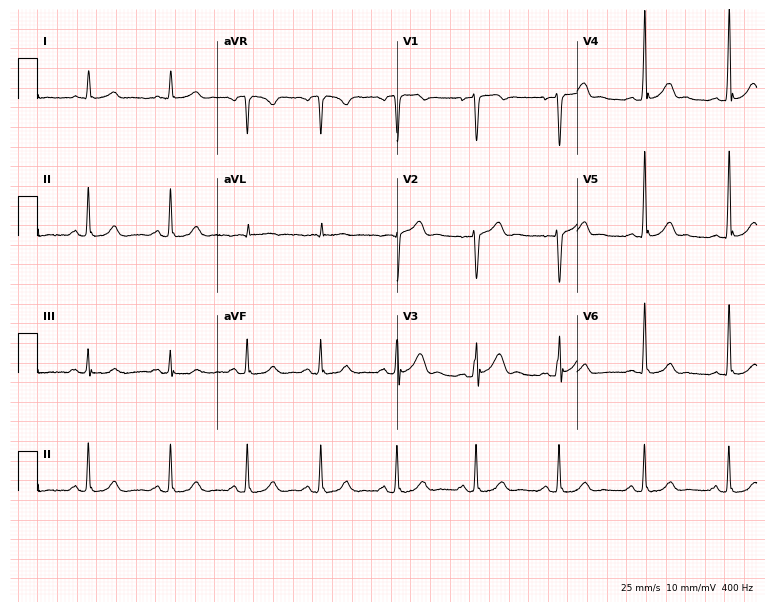
12-lead ECG from a male patient, 49 years old. Recorded interpretation: within normal limits.